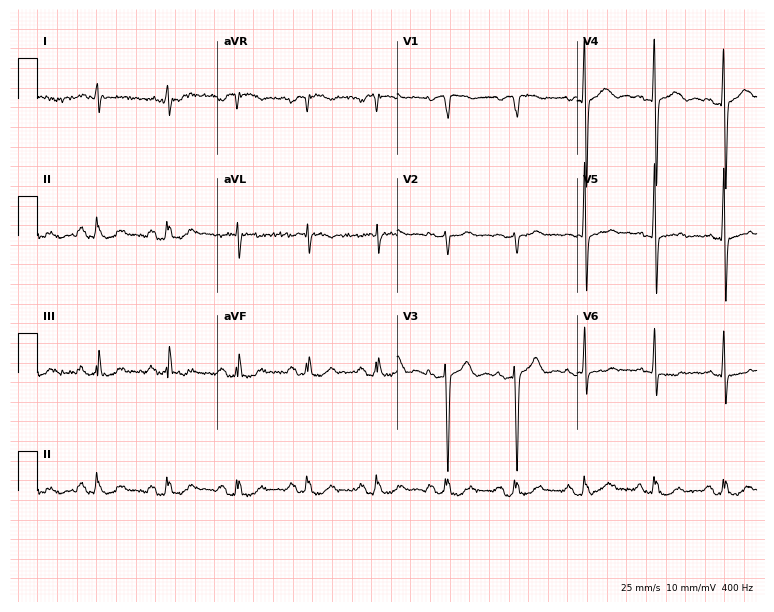
Resting 12-lead electrocardiogram (7.3-second recording at 400 Hz). Patient: an 83-year-old man. None of these six findings is recorded: first-degree AV block, right bundle branch block, left bundle branch block, sinus bradycardia, atrial fibrillation, sinus tachycardia.